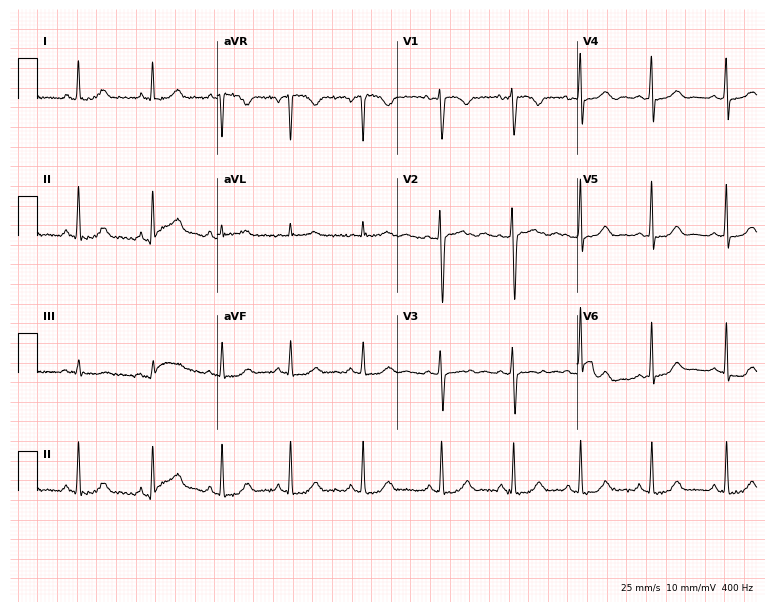
Resting 12-lead electrocardiogram. Patient: a female, 33 years old. None of these six findings is recorded: first-degree AV block, right bundle branch block (RBBB), left bundle branch block (LBBB), sinus bradycardia, atrial fibrillation (AF), sinus tachycardia. Findings outside these six are not listed.